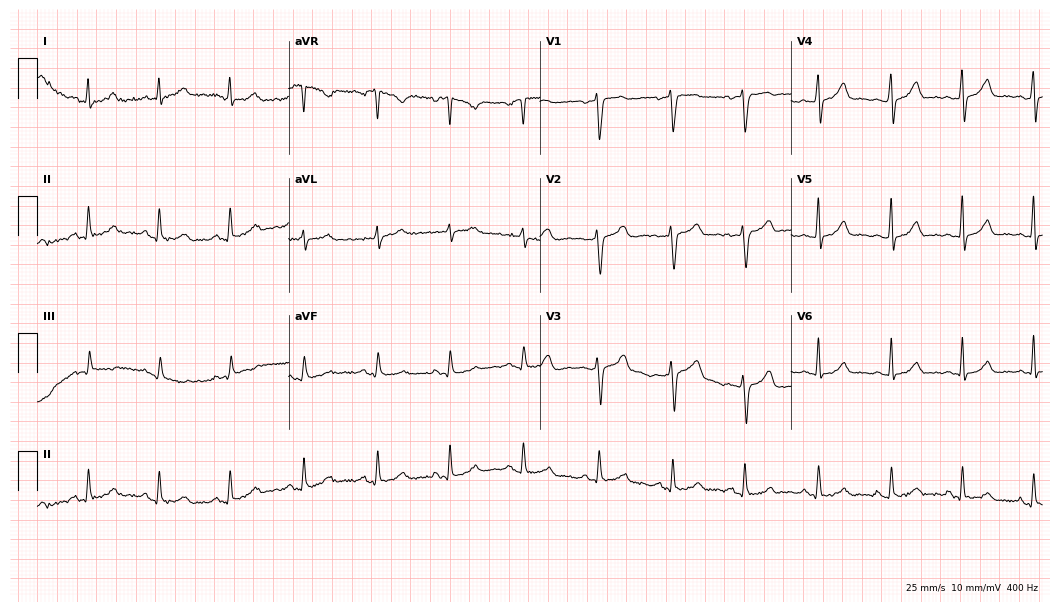
Electrocardiogram, a 42-year-old woman. Overall reading on record: normal ECG.